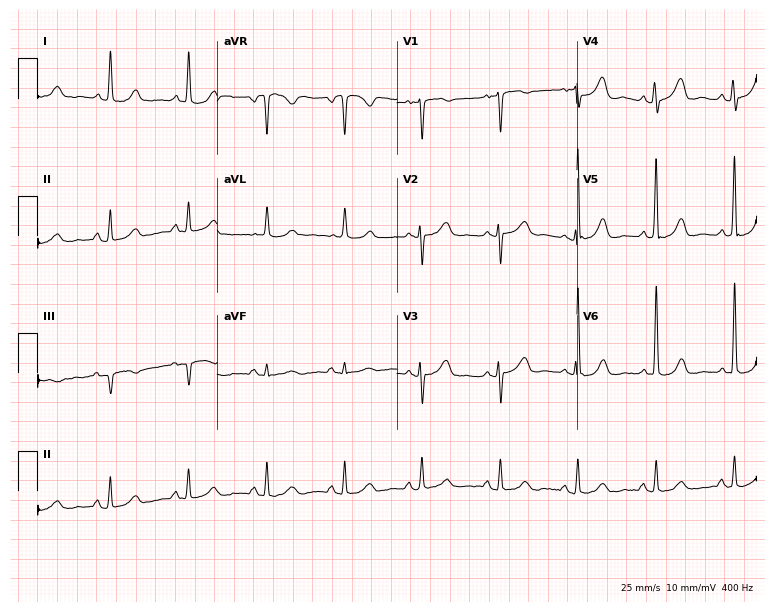
Standard 12-lead ECG recorded from a female patient, 66 years old (7.3-second recording at 400 Hz). None of these six findings is recorded: first-degree AV block, right bundle branch block, left bundle branch block, sinus bradycardia, atrial fibrillation, sinus tachycardia. Only these six findings were labelled.